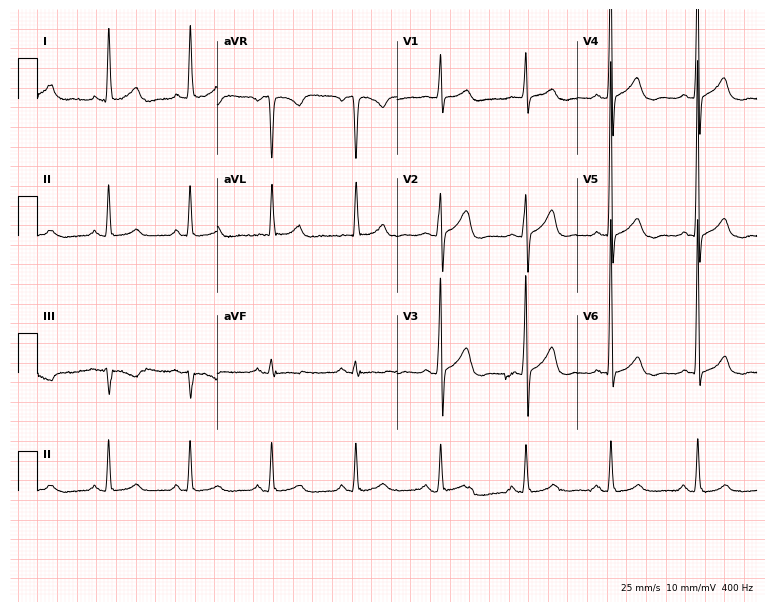
Resting 12-lead electrocardiogram (7.3-second recording at 400 Hz). Patient: a 69-year-old man. None of these six findings is recorded: first-degree AV block, right bundle branch block, left bundle branch block, sinus bradycardia, atrial fibrillation, sinus tachycardia. Findings outside these six are not listed.